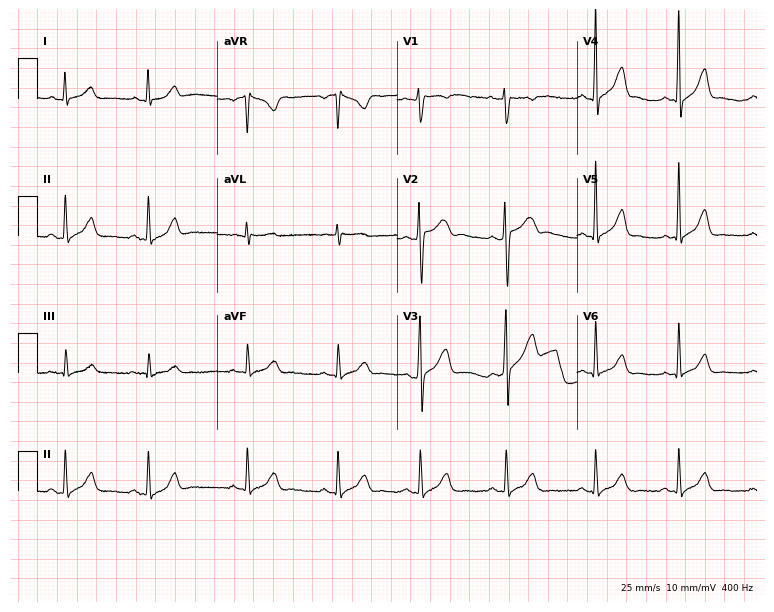
ECG (7.3-second recording at 400 Hz) — a 31-year-old male patient. Screened for six findings — first-degree AV block, right bundle branch block, left bundle branch block, sinus bradycardia, atrial fibrillation, sinus tachycardia — none is recorded.